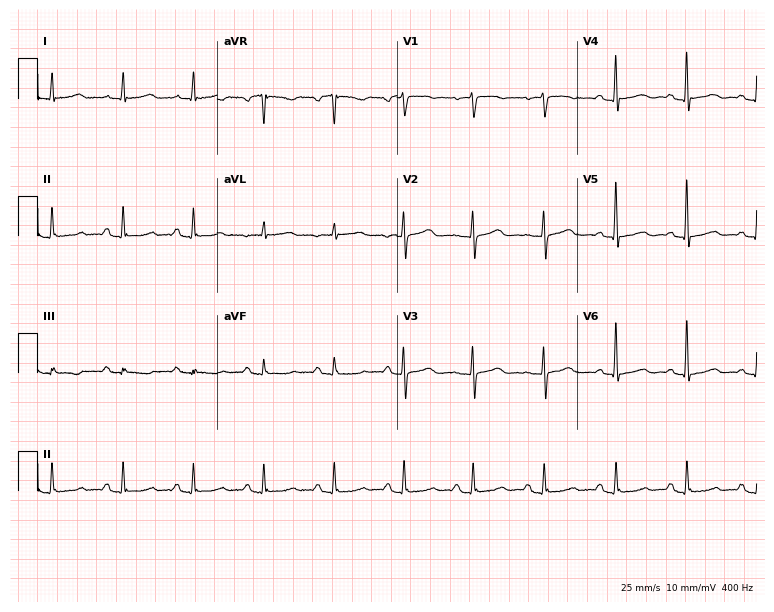
12-lead ECG from a female patient, 77 years old. Labelled as a normal ECG.